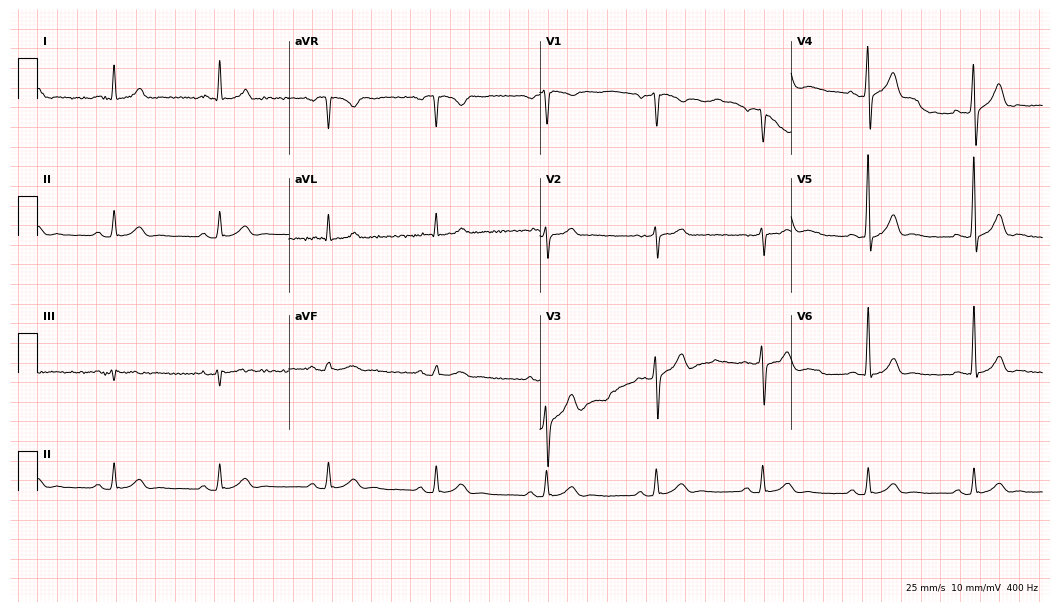
Electrocardiogram (10.2-second recording at 400 Hz), a 52-year-old man. Of the six screened findings (first-degree AV block, right bundle branch block, left bundle branch block, sinus bradycardia, atrial fibrillation, sinus tachycardia), none is recorded. Only these six findings were labelled.